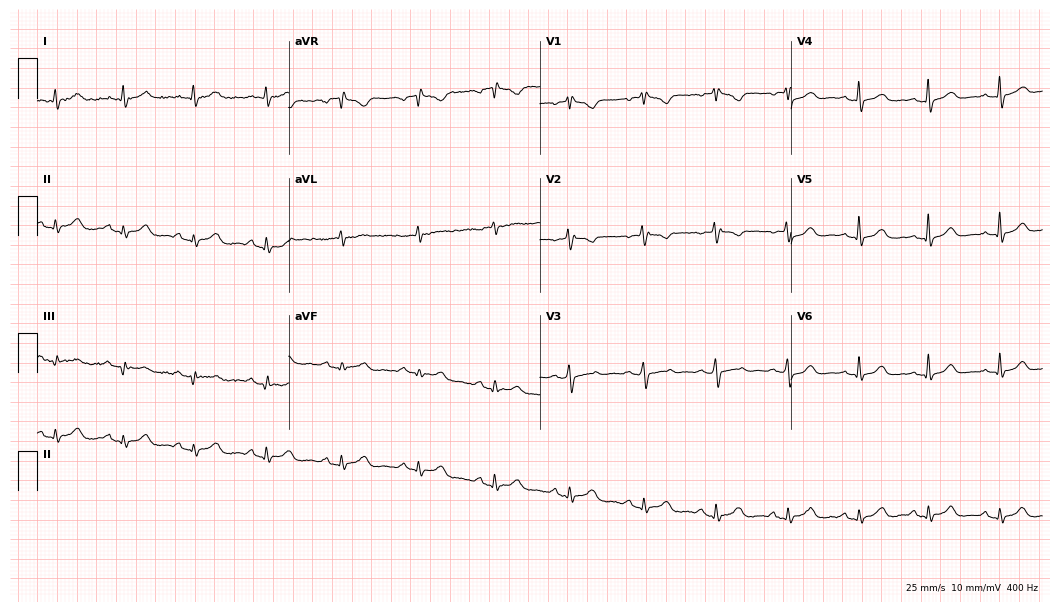
12-lead ECG from a 49-year-old female (10.2-second recording at 400 Hz). No first-degree AV block, right bundle branch block, left bundle branch block, sinus bradycardia, atrial fibrillation or sinus tachycardia recorded for this tracing.